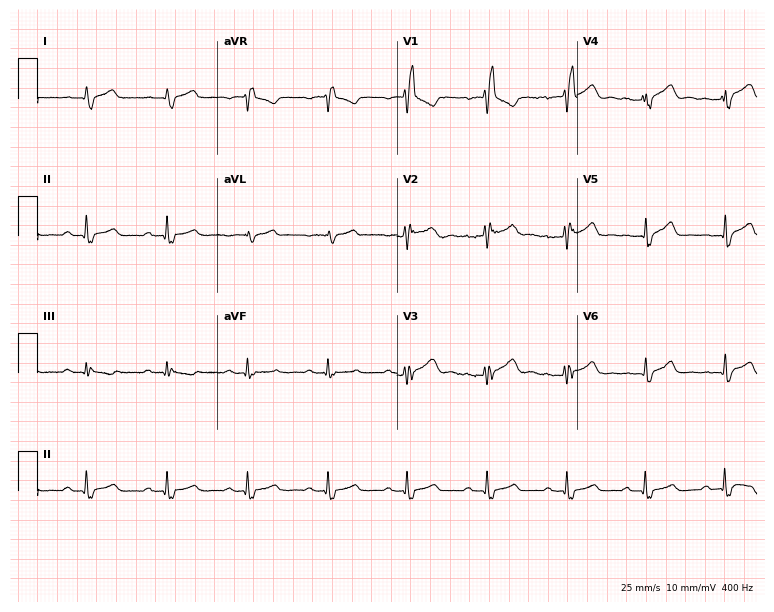
Standard 12-lead ECG recorded from a male, 33 years old (7.3-second recording at 400 Hz). The tracing shows right bundle branch block (RBBB).